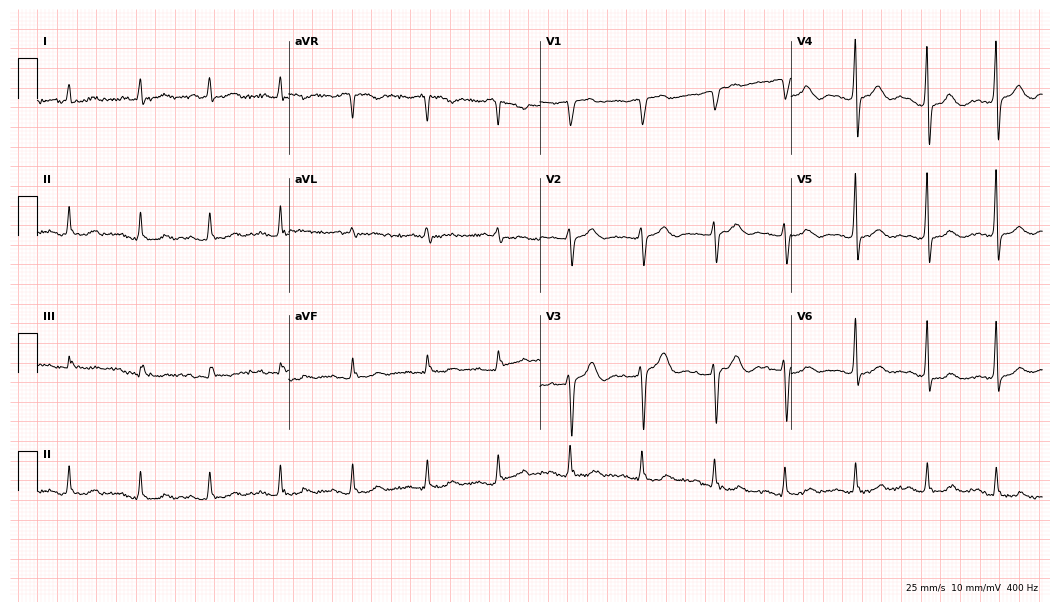
Standard 12-lead ECG recorded from a 64-year-old woman. None of these six findings is recorded: first-degree AV block, right bundle branch block, left bundle branch block, sinus bradycardia, atrial fibrillation, sinus tachycardia. Only these six findings were labelled.